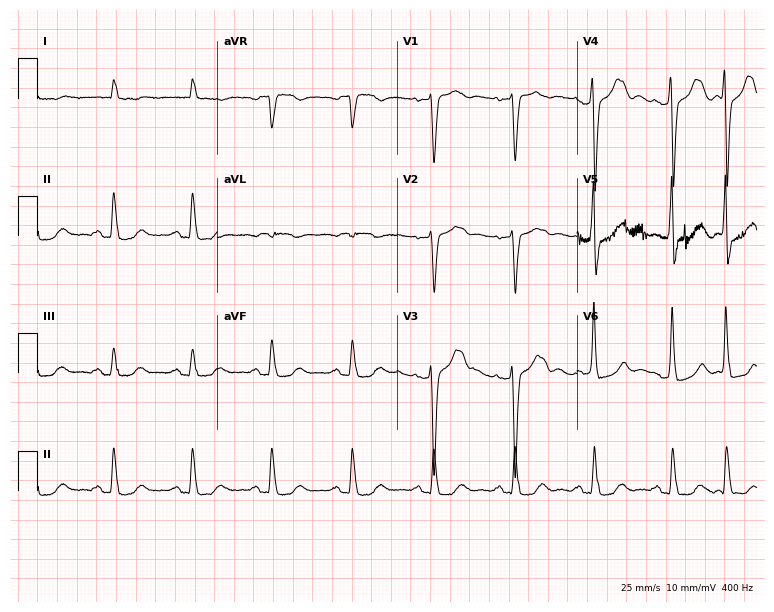
Electrocardiogram, an 80-year-old man. Of the six screened findings (first-degree AV block, right bundle branch block (RBBB), left bundle branch block (LBBB), sinus bradycardia, atrial fibrillation (AF), sinus tachycardia), none is recorded.